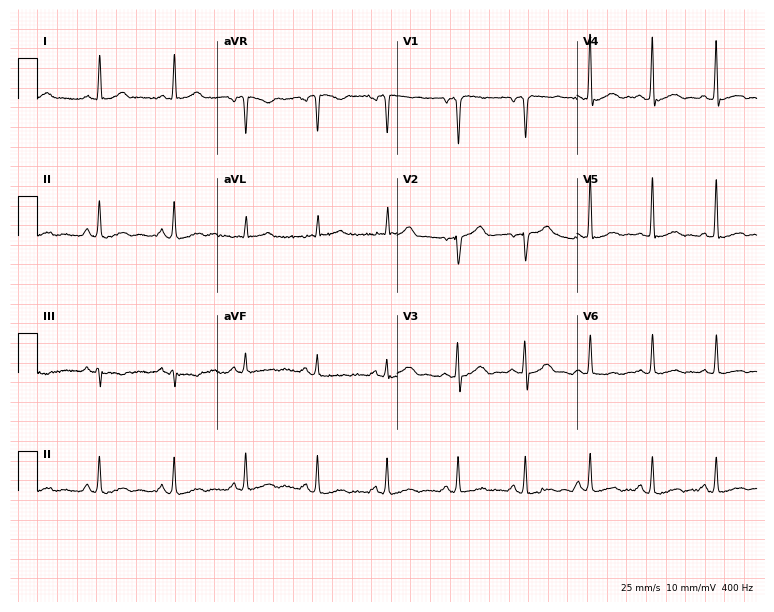
12-lead ECG from a man, 59 years old (7.3-second recording at 400 Hz). Recorded interpretation: within normal limits.